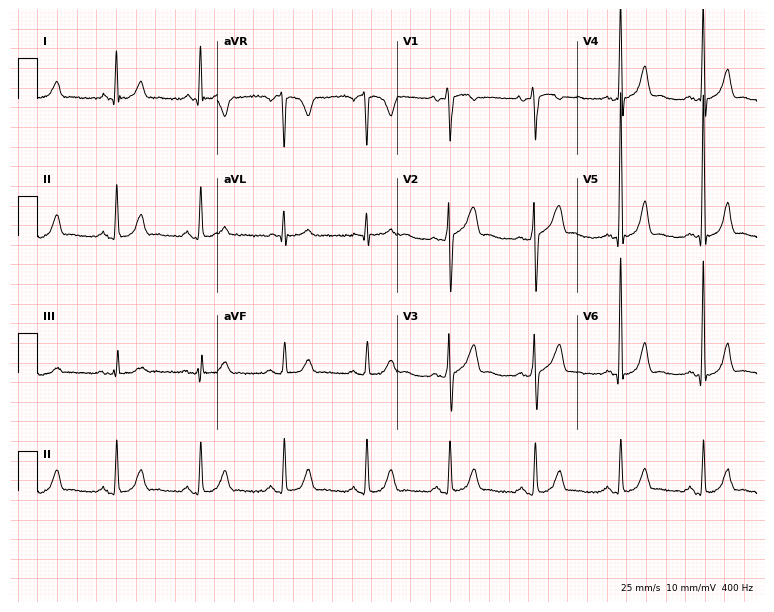
ECG — a 62-year-old male. Labelled as a normal ECG.